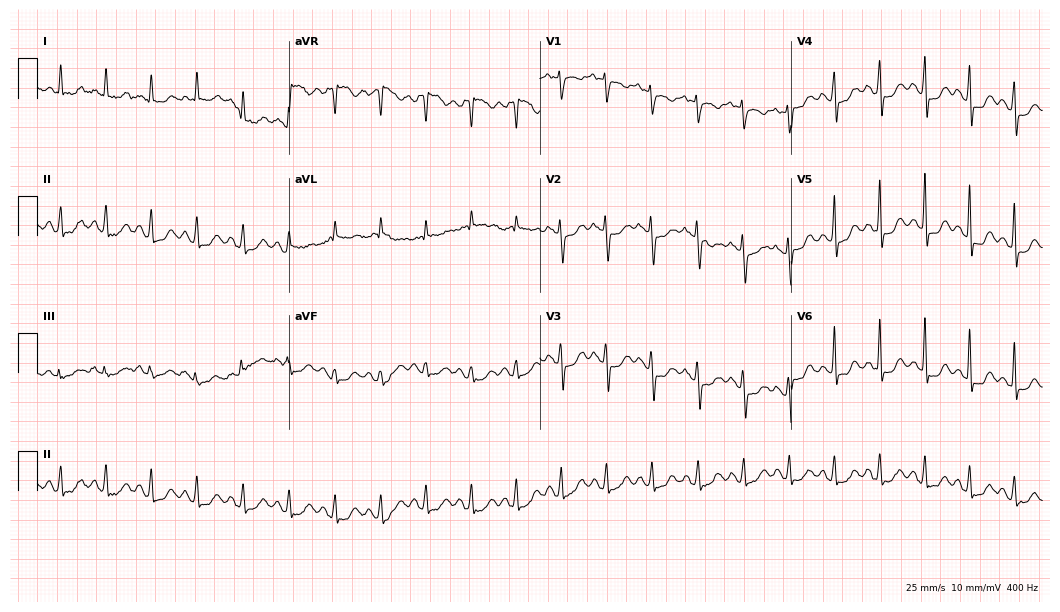
Electrocardiogram, a female patient, 54 years old. Interpretation includes sinus tachycardia (a sinus rate of 100 beats per minute or more).